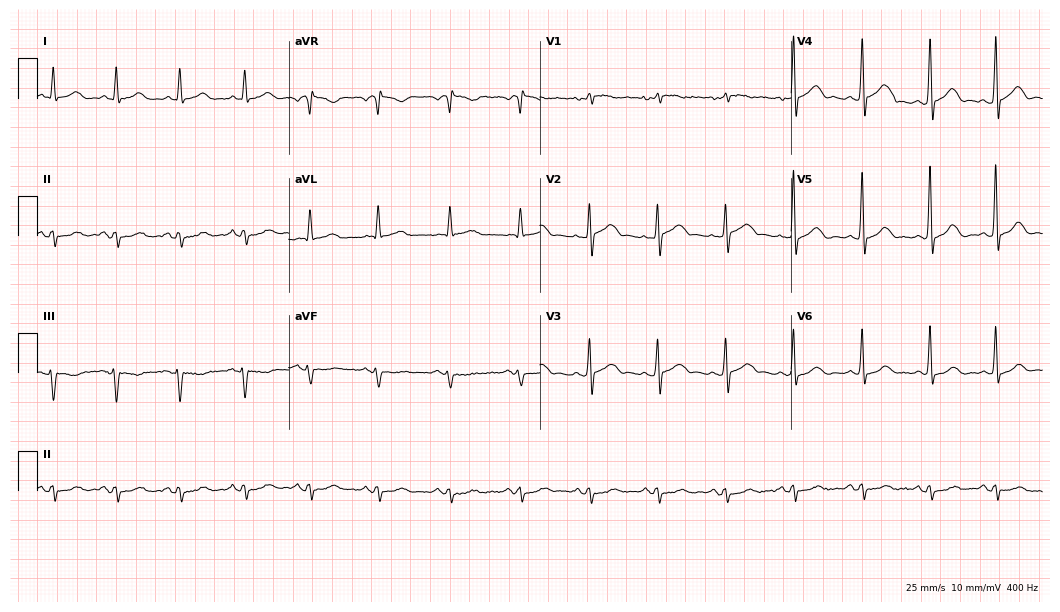
12-lead ECG from a 64-year-old male patient (10.2-second recording at 400 Hz). No first-degree AV block, right bundle branch block (RBBB), left bundle branch block (LBBB), sinus bradycardia, atrial fibrillation (AF) or sinus tachycardia recorded for this tracing.